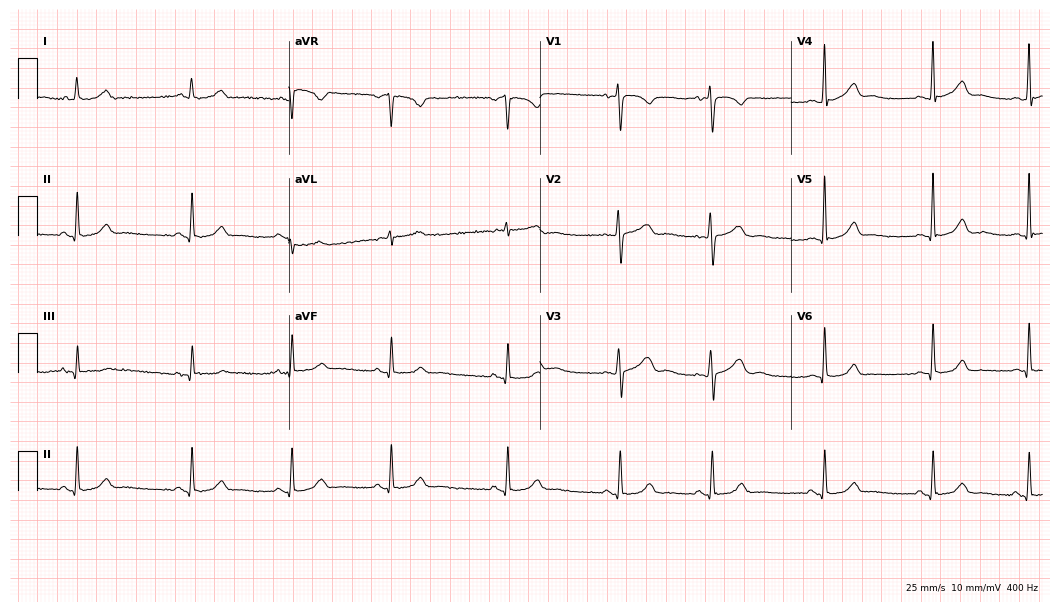
12-lead ECG from a 44-year-old woman (10.2-second recording at 400 Hz). No first-degree AV block, right bundle branch block, left bundle branch block, sinus bradycardia, atrial fibrillation or sinus tachycardia recorded for this tracing. Findings outside these six are not listed.